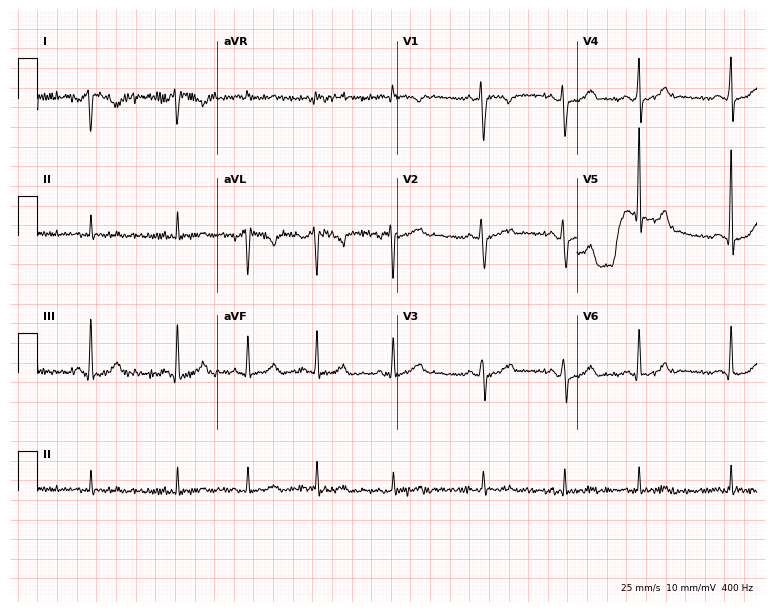
ECG (7.3-second recording at 400 Hz) — a 27-year-old woman. Screened for six findings — first-degree AV block, right bundle branch block, left bundle branch block, sinus bradycardia, atrial fibrillation, sinus tachycardia — none is recorded. Findings outside these six are not listed.